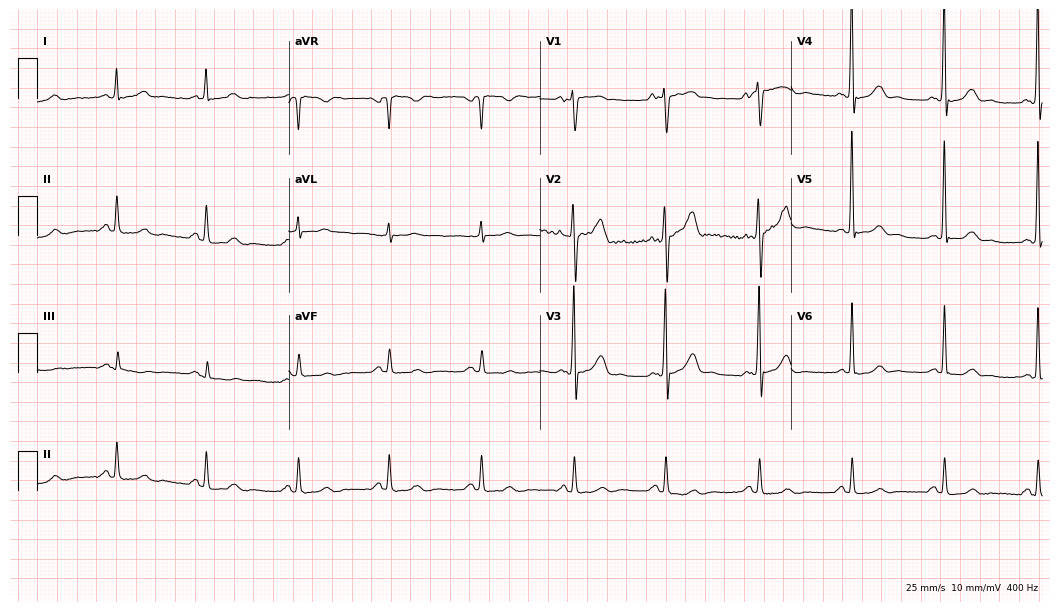
Standard 12-lead ECG recorded from a man, 62 years old (10.2-second recording at 400 Hz). Read as a normal ECG.